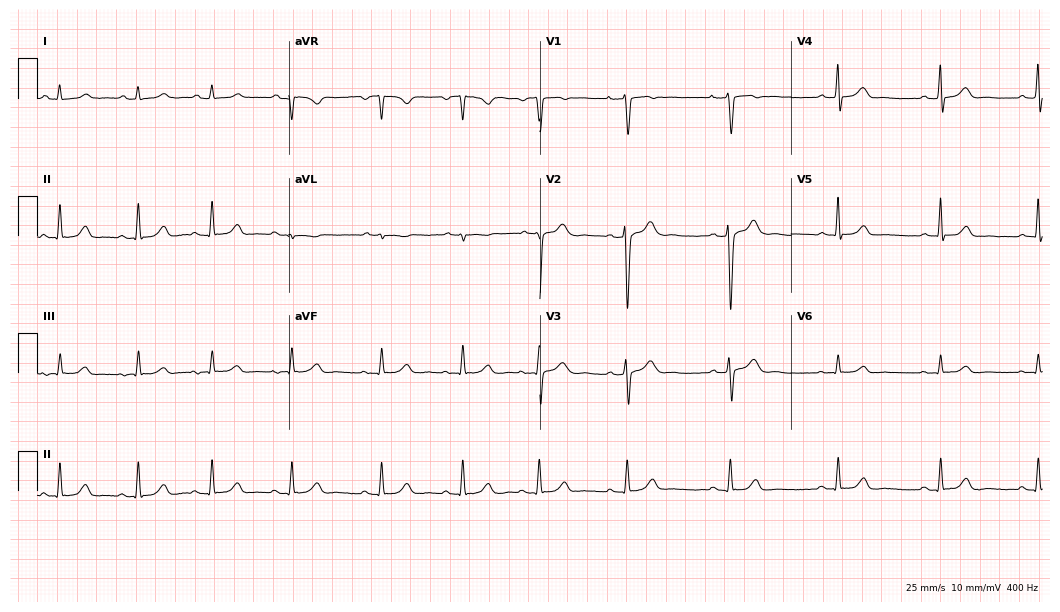
12-lead ECG from a 22-year-old woman. Labelled as a normal ECG.